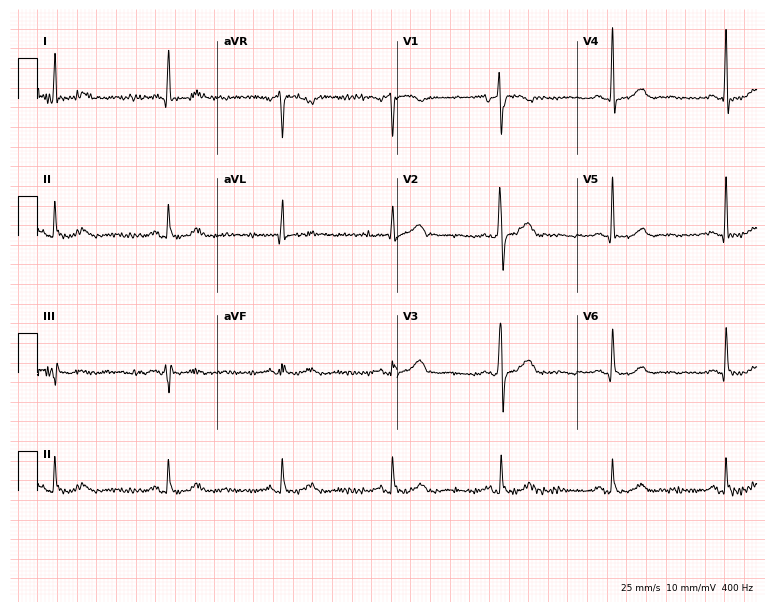
Resting 12-lead electrocardiogram. Patient: a 62-year-old man. None of these six findings is recorded: first-degree AV block, right bundle branch block, left bundle branch block, sinus bradycardia, atrial fibrillation, sinus tachycardia.